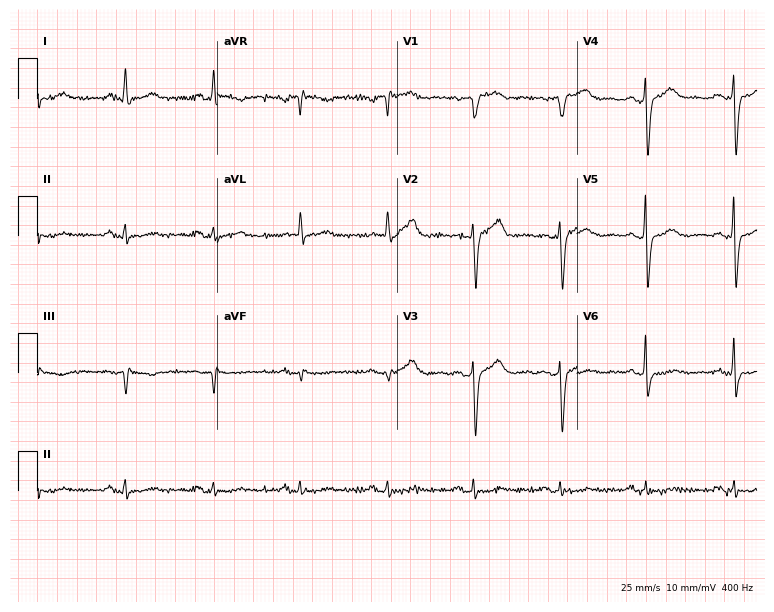
Resting 12-lead electrocardiogram. Patient: a 67-year-old man. None of these six findings is recorded: first-degree AV block, right bundle branch block (RBBB), left bundle branch block (LBBB), sinus bradycardia, atrial fibrillation (AF), sinus tachycardia. Other findings, if any, are not listed.